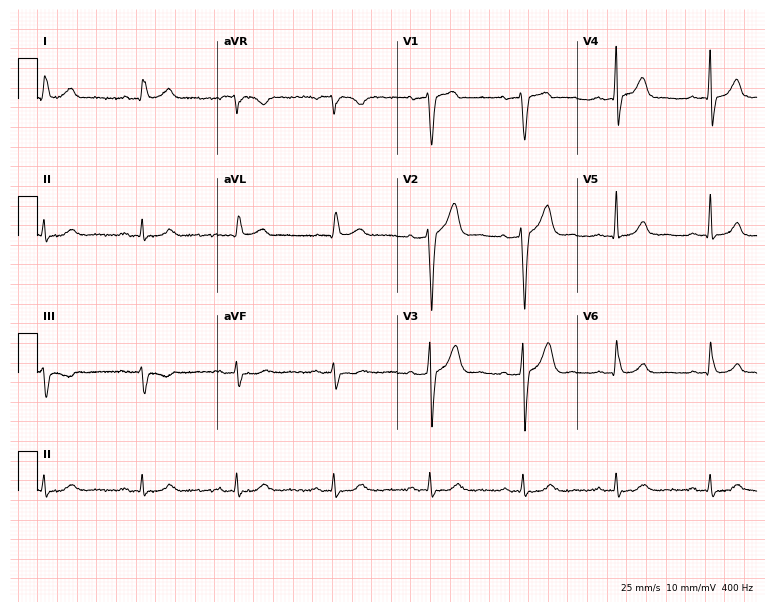
Standard 12-lead ECG recorded from a 64-year-old male patient (7.3-second recording at 400 Hz). Read as a normal ECG.